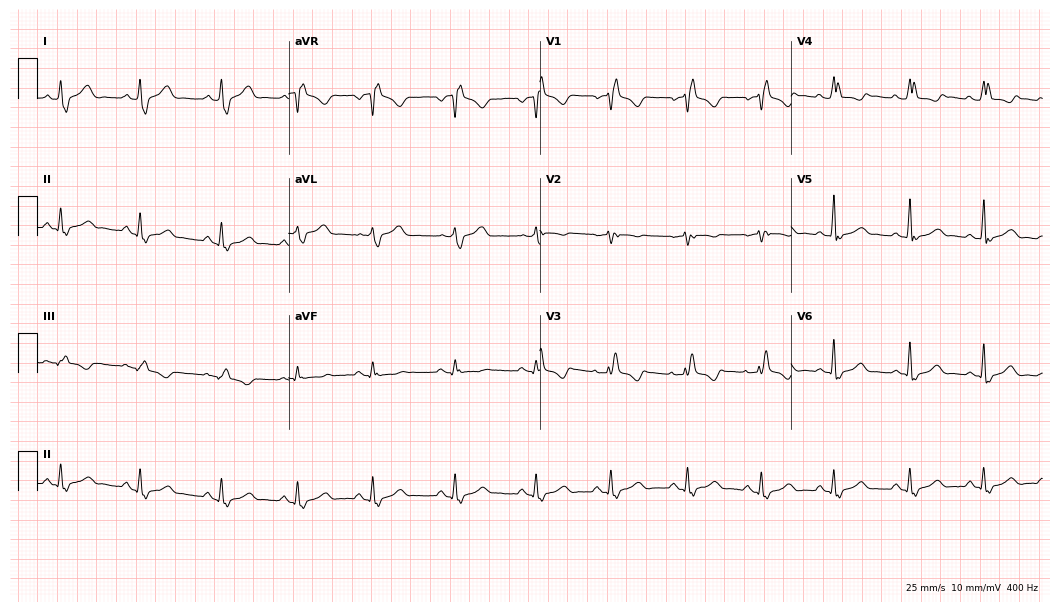
Electrocardiogram (10.2-second recording at 400 Hz), a 37-year-old woman. Of the six screened findings (first-degree AV block, right bundle branch block, left bundle branch block, sinus bradycardia, atrial fibrillation, sinus tachycardia), none is recorded.